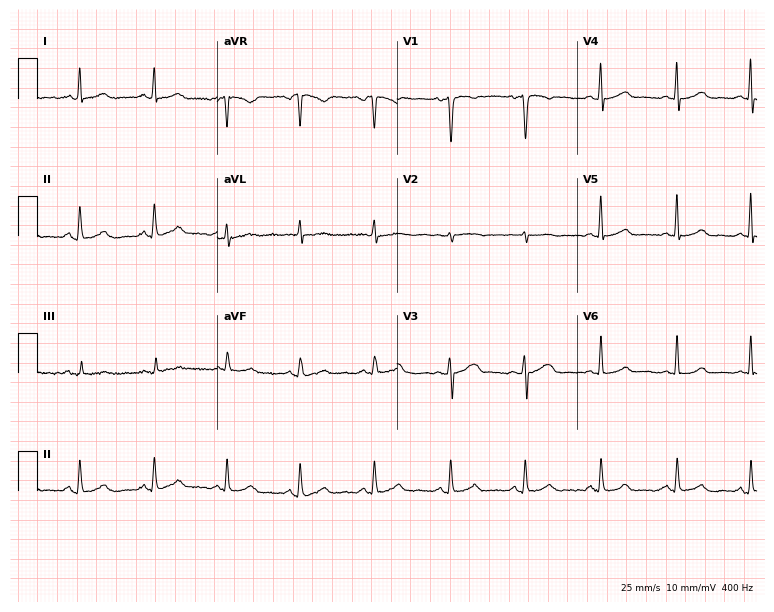
Standard 12-lead ECG recorded from a female patient, 25 years old. None of these six findings is recorded: first-degree AV block, right bundle branch block, left bundle branch block, sinus bradycardia, atrial fibrillation, sinus tachycardia. Only these six findings were labelled.